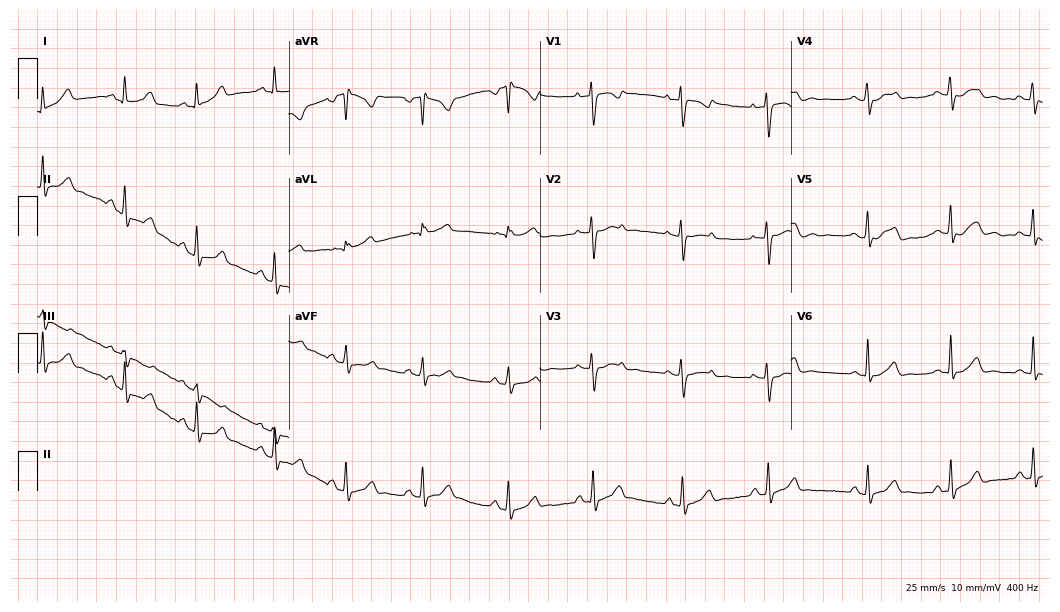
Electrocardiogram, a female, 28 years old. Overall reading on record: normal ECG.